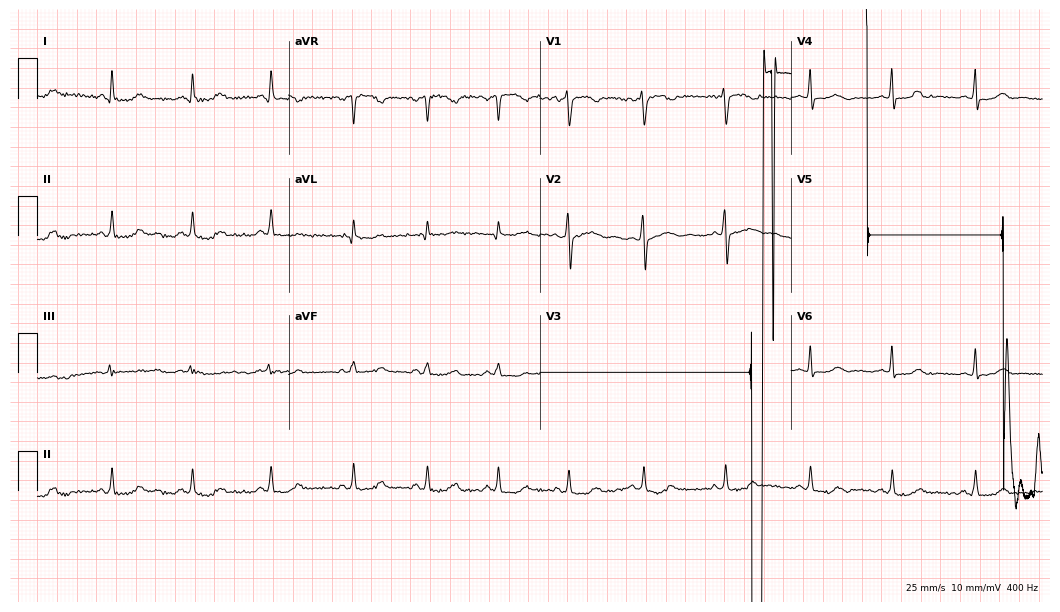
ECG — a 43-year-old woman. Screened for six findings — first-degree AV block, right bundle branch block, left bundle branch block, sinus bradycardia, atrial fibrillation, sinus tachycardia — none is recorded. Only these six findings were labelled.